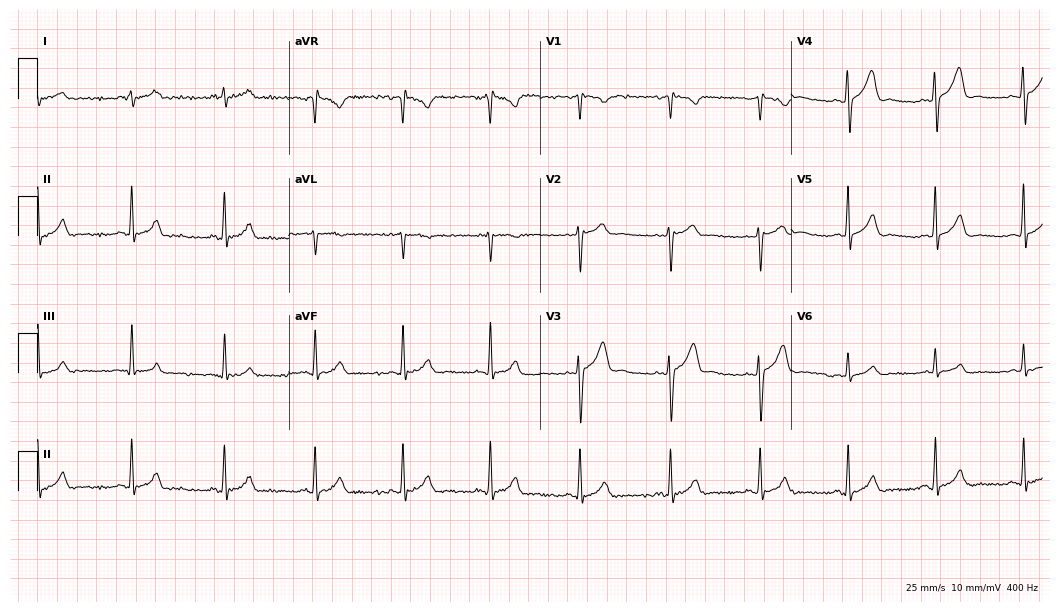
Resting 12-lead electrocardiogram (10.2-second recording at 400 Hz). Patient: a male, 35 years old. Read as a normal ECG.